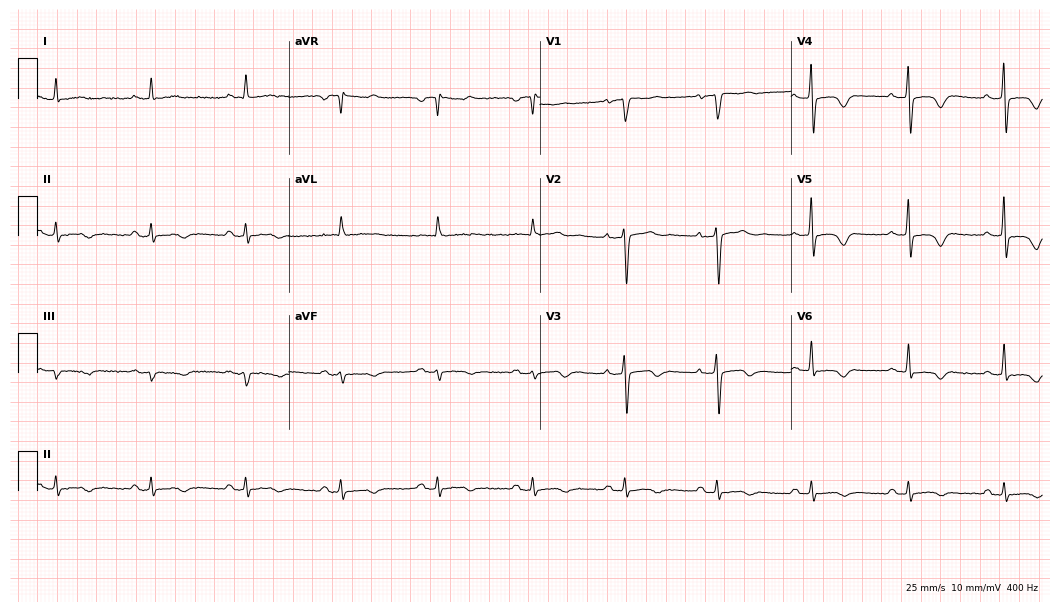
Resting 12-lead electrocardiogram. Patient: a 52-year-old man. None of these six findings is recorded: first-degree AV block, right bundle branch block (RBBB), left bundle branch block (LBBB), sinus bradycardia, atrial fibrillation (AF), sinus tachycardia.